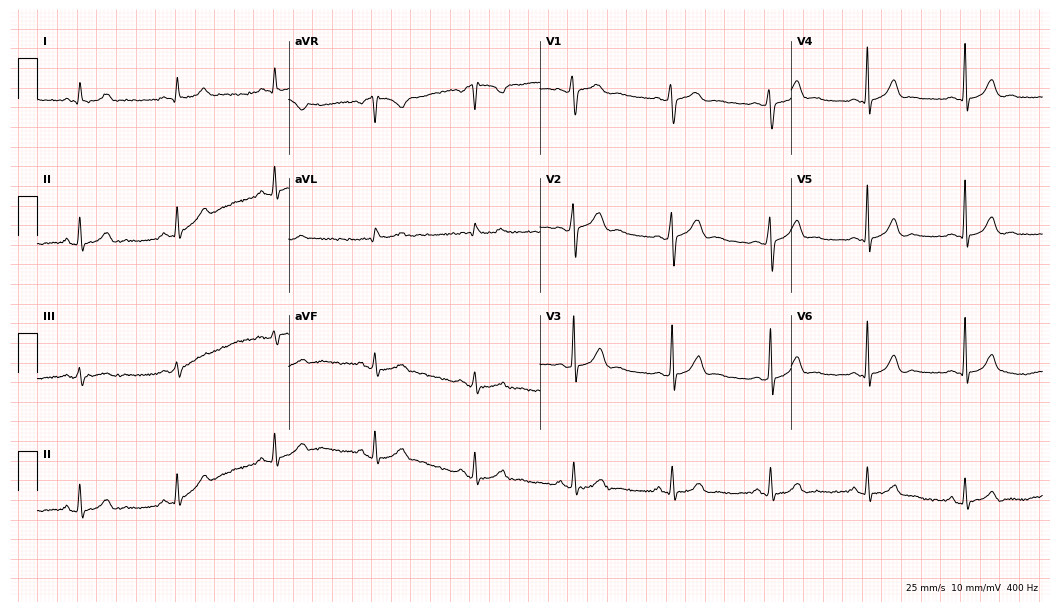
Standard 12-lead ECG recorded from a 34-year-old man. None of these six findings is recorded: first-degree AV block, right bundle branch block (RBBB), left bundle branch block (LBBB), sinus bradycardia, atrial fibrillation (AF), sinus tachycardia. Other findings, if any, are not listed.